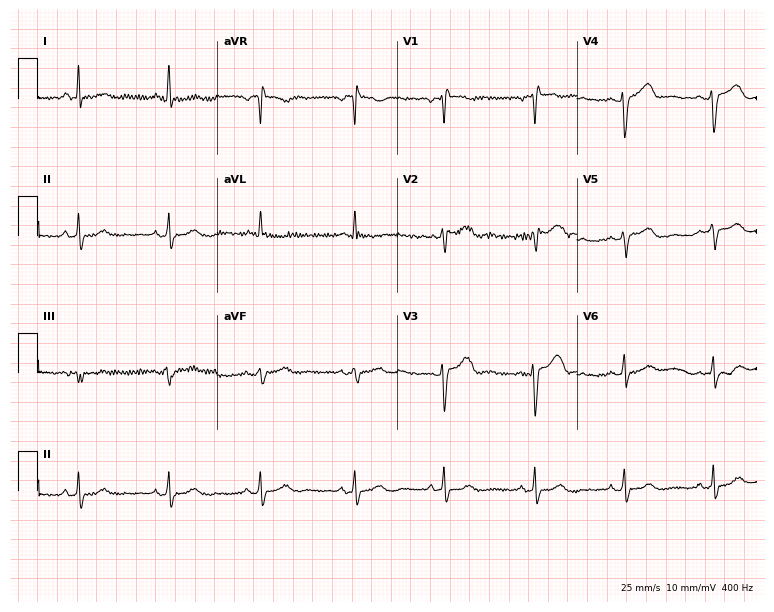
Standard 12-lead ECG recorded from a female patient, 52 years old (7.3-second recording at 400 Hz). None of these six findings is recorded: first-degree AV block, right bundle branch block, left bundle branch block, sinus bradycardia, atrial fibrillation, sinus tachycardia. Findings outside these six are not listed.